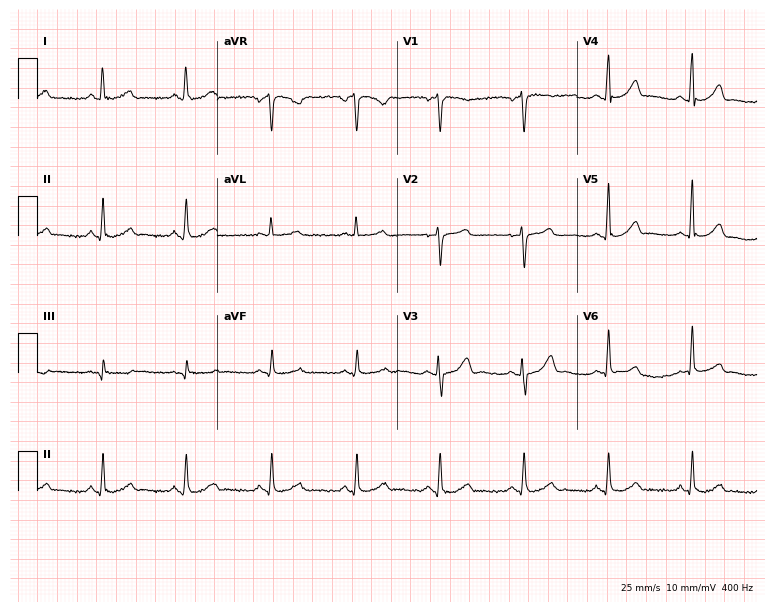
Electrocardiogram, a woman, 60 years old. Of the six screened findings (first-degree AV block, right bundle branch block, left bundle branch block, sinus bradycardia, atrial fibrillation, sinus tachycardia), none is recorded. Other findings, if any, are not listed.